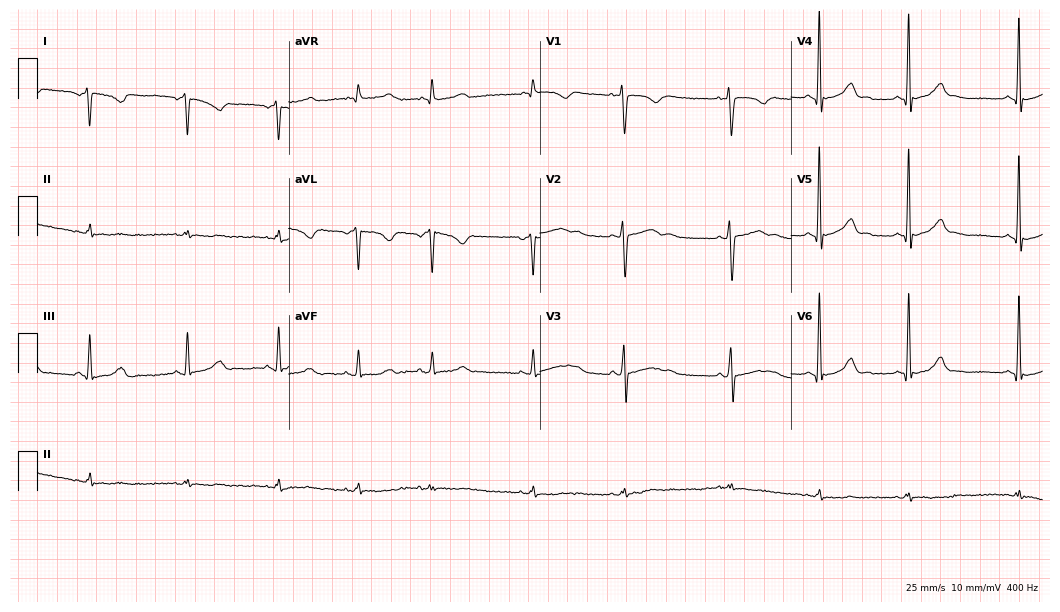
Electrocardiogram (10.2-second recording at 400 Hz), a woman, 22 years old. Of the six screened findings (first-degree AV block, right bundle branch block, left bundle branch block, sinus bradycardia, atrial fibrillation, sinus tachycardia), none is recorded.